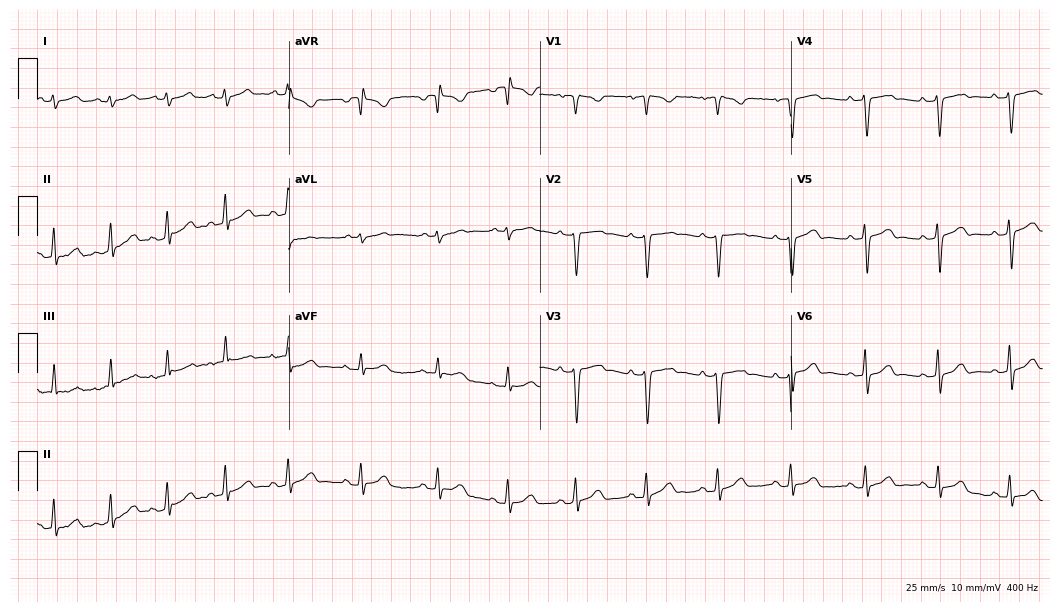
Resting 12-lead electrocardiogram (10.2-second recording at 400 Hz). Patient: a 24-year-old female. None of these six findings is recorded: first-degree AV block, right bundle branch block, left bundle branch block, sinus bradycardia, atrial fibrillation, sinus tachycardia.